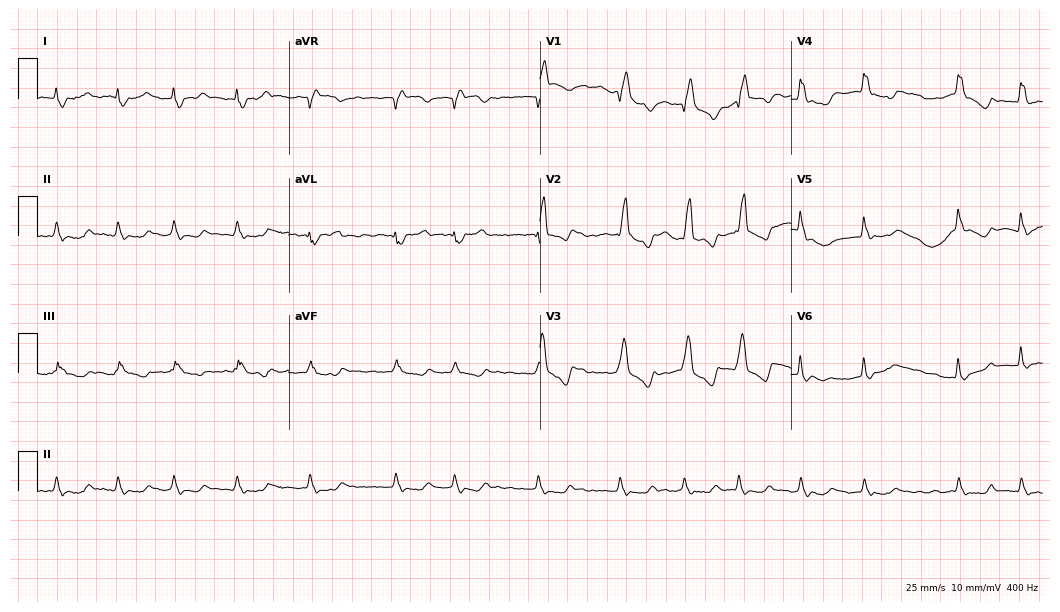
12-lead ECG (10.2-second recording at 400 Hz) from a 63-year-old woman. Findings include right bundle branch block, atrial fibrillation.